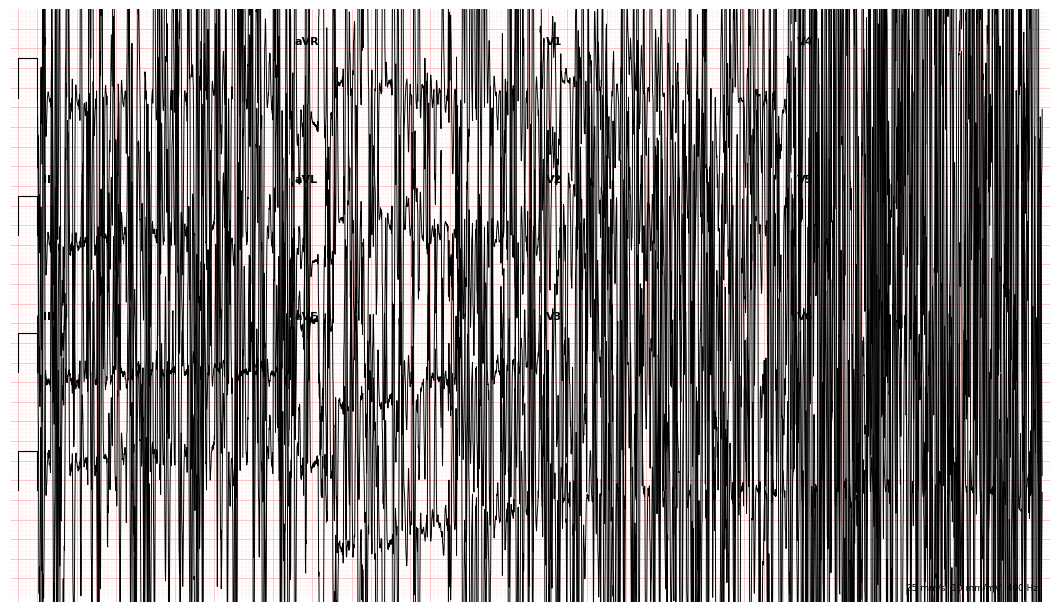
Electrocardiogram (10.2-second recording at 400 Hz), a 56-year-old female. Of the six screened findings (first-degree AV block, right bundle branch block, left bundle branch block, sinus bradycardia, atrial fibrillation, sinus tachycardia), none is recorded. Only these six findings were labelled.